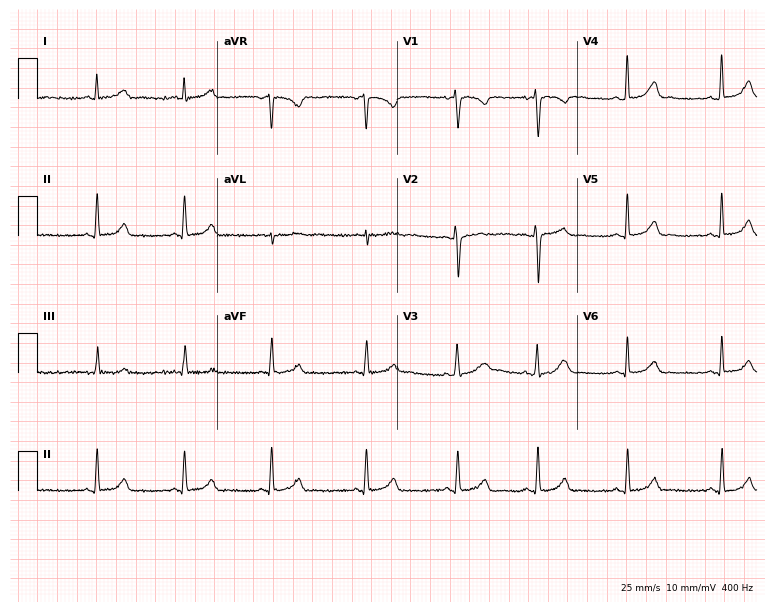
12-lead ECG from a 21-year-old female patient. Recorded interpretation: within normal limits.